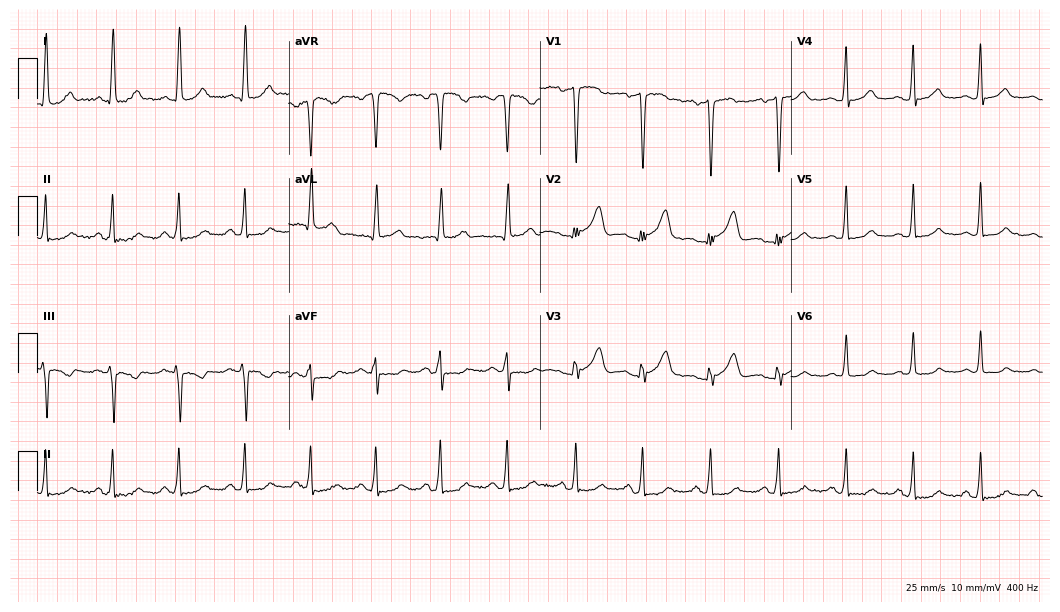
Resting 12-lead electrocardiogram (10.2-second recording at 400 Hz). Patient: a 64-year-old woman. None of these six findings is recorded: first-degree AV block, right bundle branch block, left bundle branch block, sinus bradycardia, atrial fibrillation, sinus tachycardia. Only these six findings were labelled.